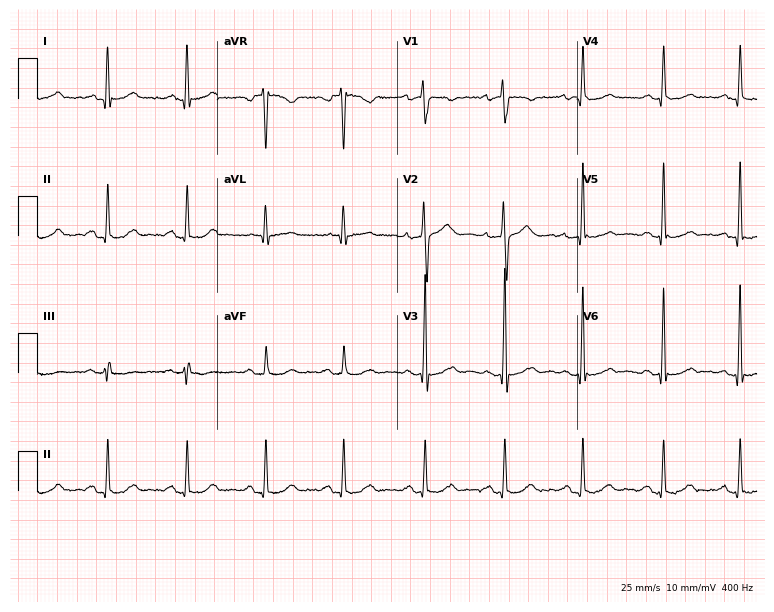
Electrocardiogram, a 55-year-old female. Of the six screened findings (first-degree AV block, right bundle branch block (RBBB), left bundle branch block (LBBB), sinus bradycardia, atrial fibrillation (AF), sinus tachycardia), none is recorded. Other findings, if any, are not listed.